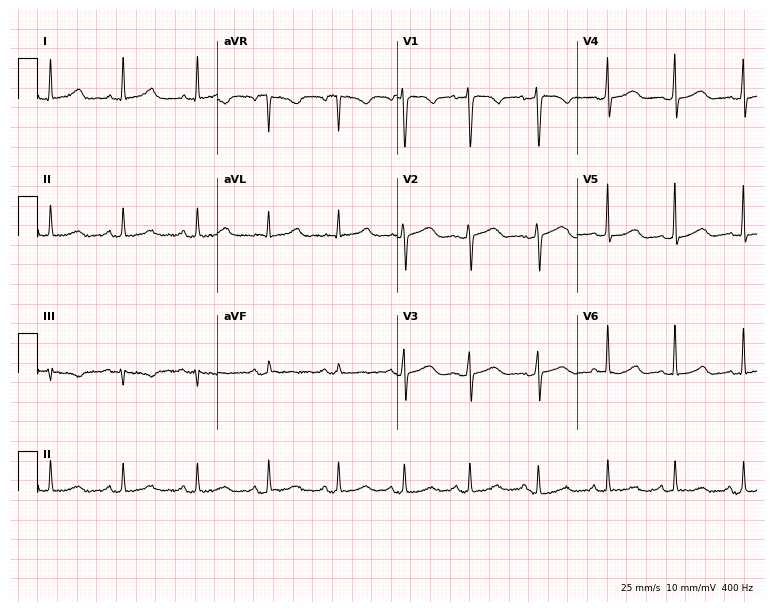
Resting 12-lead electrocardiogram. Patient: a woman, 48 years old. None of these six findings is recorded: first-degree AV block, right bundle branch block, left bundle branch block, sinus bradycardia, atrial fibrillation, sinus tachycardia. Only these six findings were labelled.